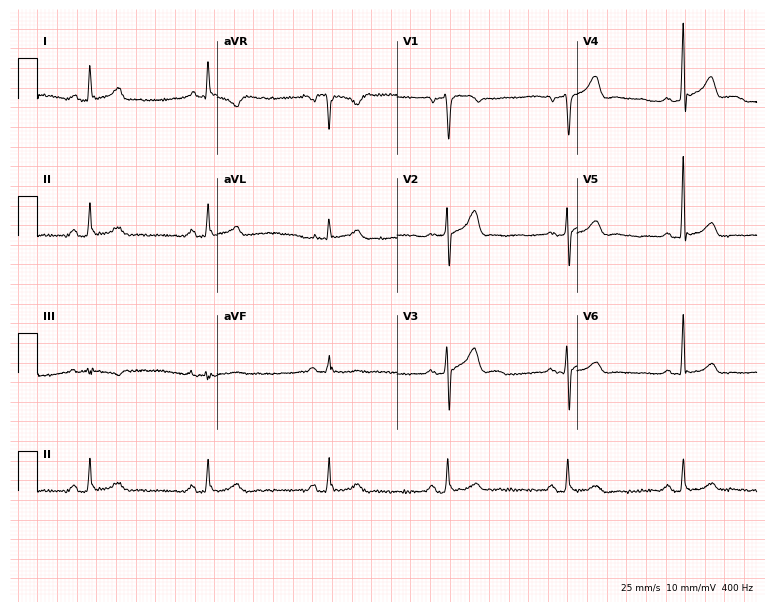
12-lead ECG from a male patient, 57 years old. Screened for six findings — first-degree AV block, right bundle branch block, left bundle branch block, sinus bradycardia, atrial fibrillation, sinus tachycardia — none is recorded. Findings outside these six are not listed.